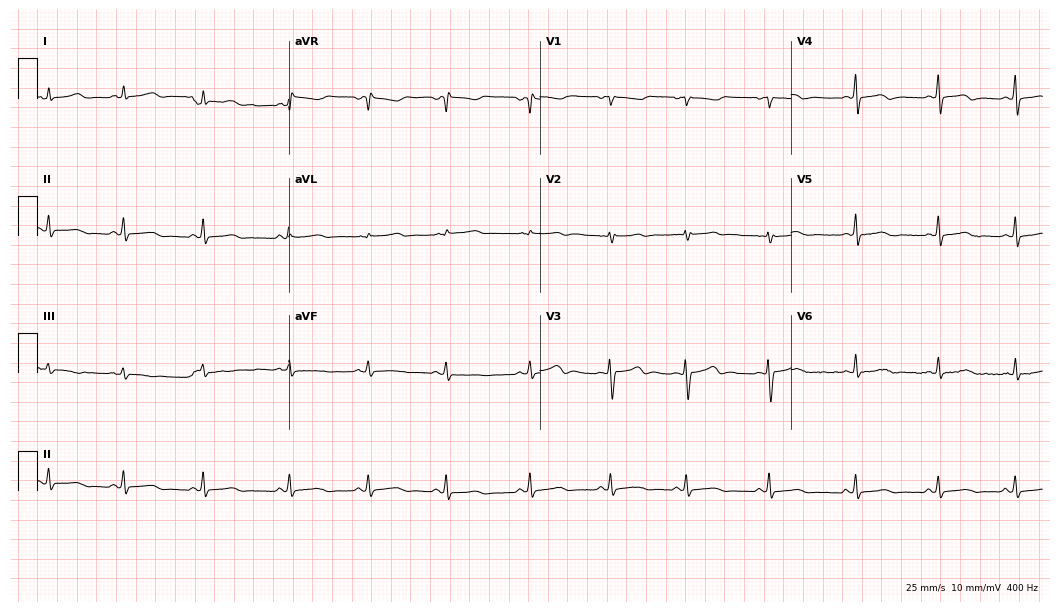
Standard 12-lead ECG recorded from a 26-year-old female patient (10.2-second recording at 400 Hz). None of these six findings is recorded: first-degree AV block, right bundle branch block (RBBB), left bundle branch block (LBBB), sinus bradycardia, atrial fibrillation (AF), sinus tachycardia. Findings outside these six are not listed.